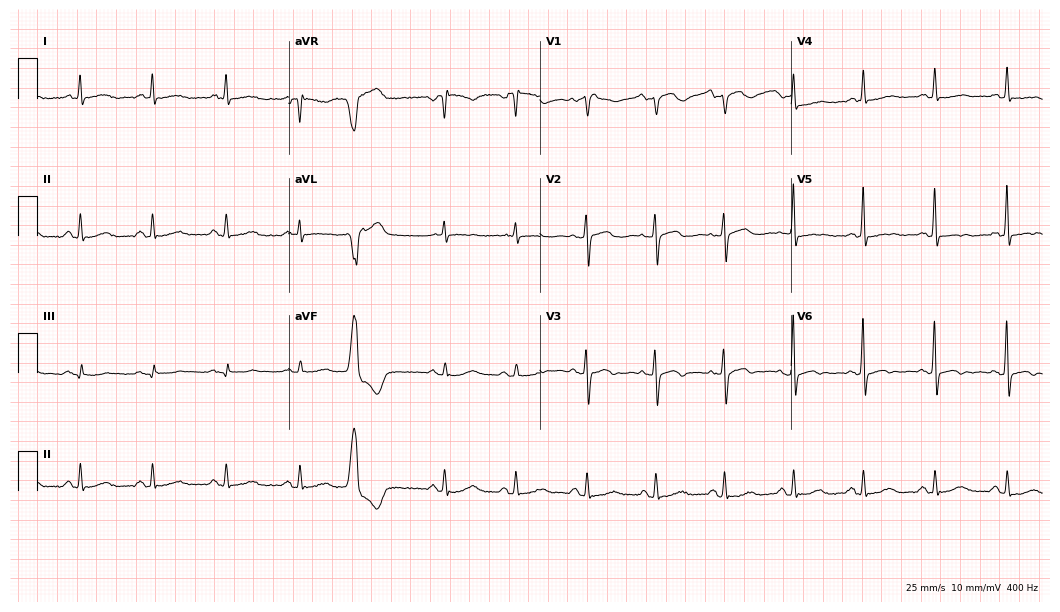
ECG (10.2-second recording at 400 Hz) — a female patient, 75 years old. Screened for six findings — first-degree AV block, right bundle branch block, left bundle branch block, sinus bradycardia, atrial fibrillation, sinus tachycardia — none is recorded. Other findings, if any, are not listed.